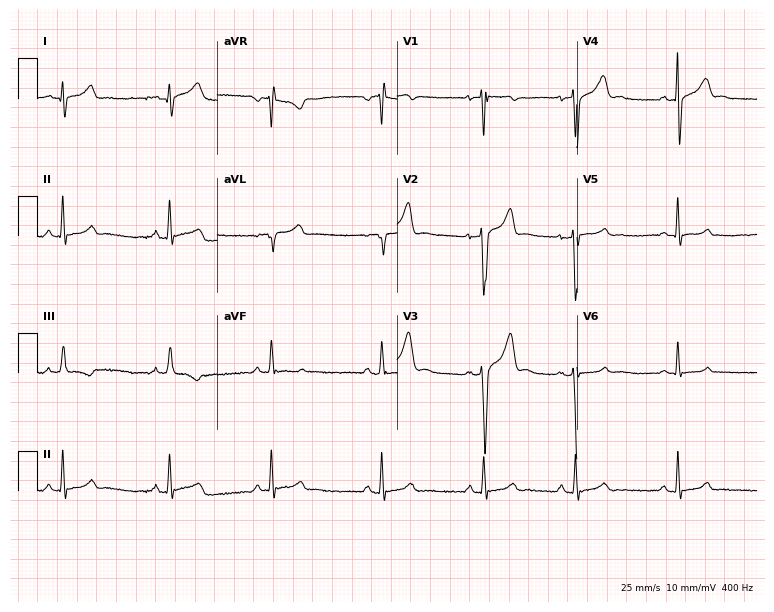
Standard 12-lead ECG recorded from a 21-year-old man (7.3-second recording at 400 Hz). Read as a normal ECG.